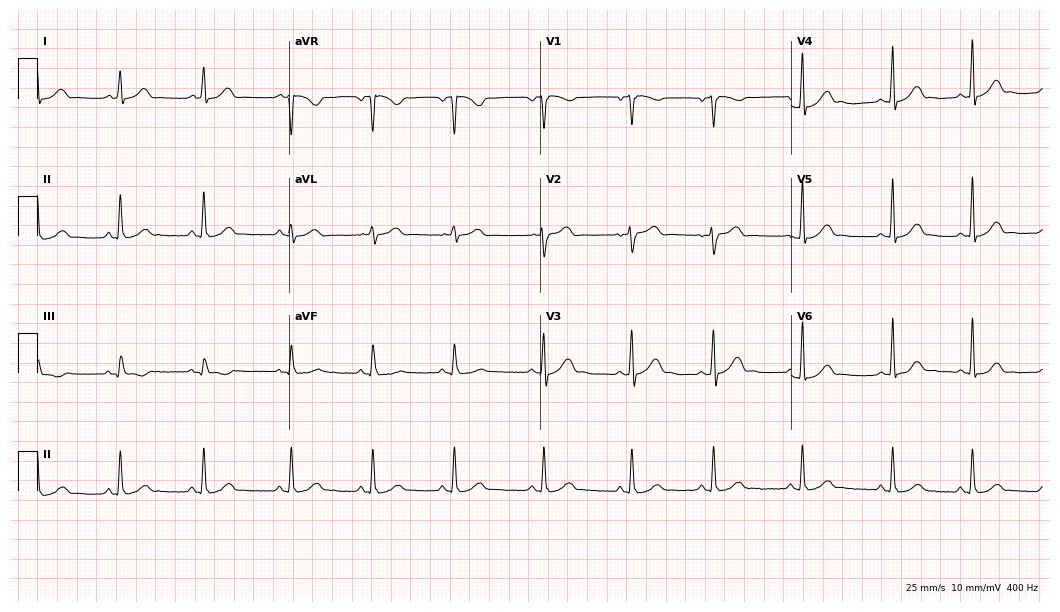
12-lead ECG (10.2-second recording at 400 Hz) from a 24-year-old female. Screened for six findings — first-degree AV block, right bundle branch block, left bundle branch block, sinus bradycardia, atrial fibrillation, sinus tachycardia — none is recorded.